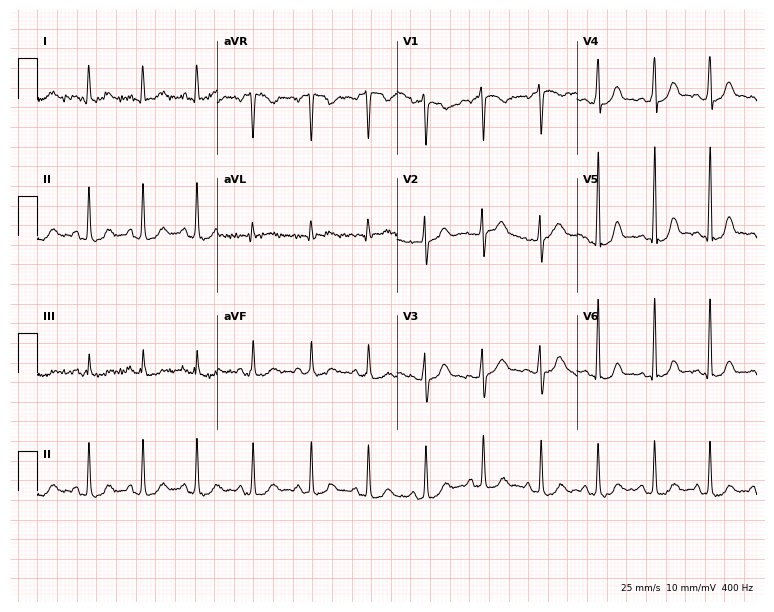
Electrocardiogram (7.3-second recording at 400 Hz), a woman, 34 years old. Overall reading on record: normal ECG.